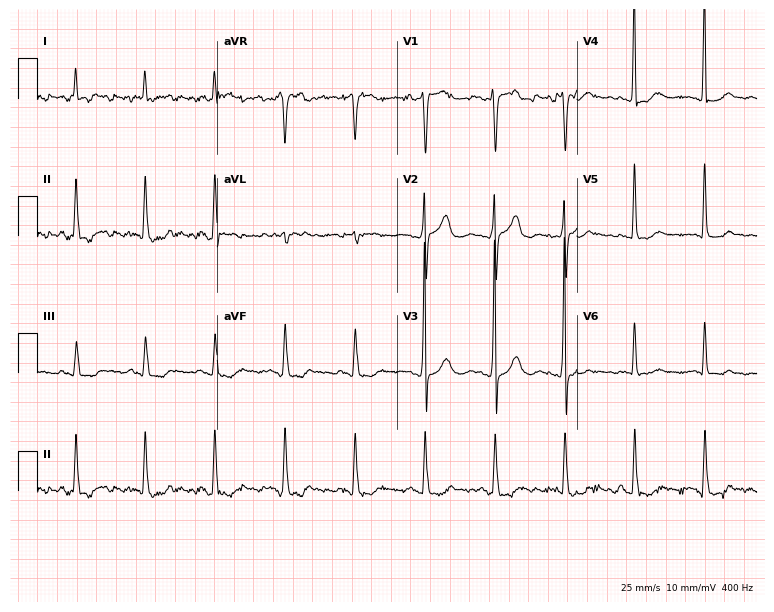
Resting 12-lead electrocardiogram. Patient: a 78-year-old female. None of these six findings is recorded: first-degree AV block, right bundle branch block, left bundle branch block, sinus bradycardia, atrial fibrillation, sinus tachycardia.